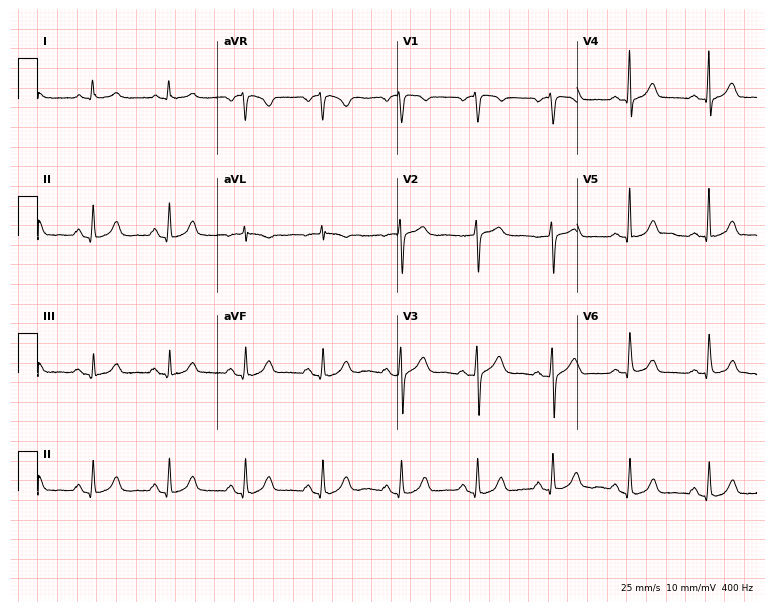
12-lead ECG from a 59-year-old woman. Labelled as a normal ECG.